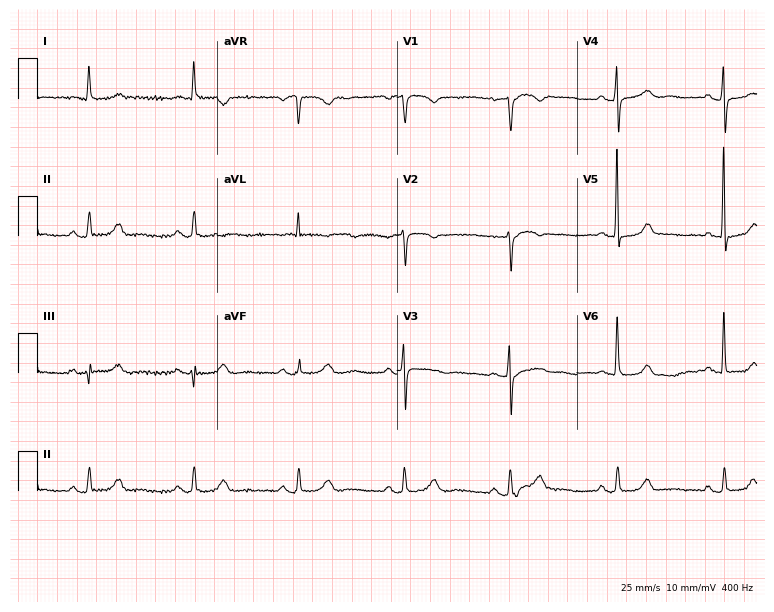
ECG (7.3-second recording at 400 Hz) — a 74-year-old woman. Labelled as a normal ECG.